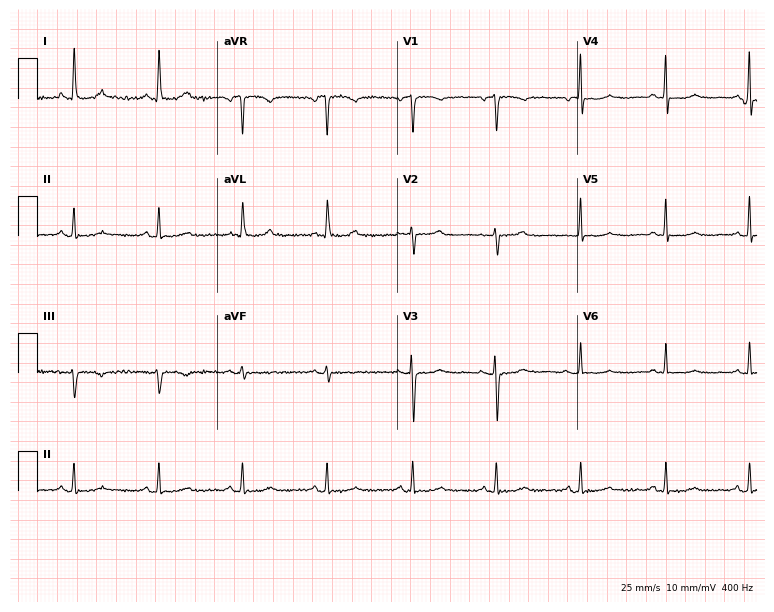
Electrocardiogram, a female, 75 years old. Of the six screened findings (first-degree AV block, right bundle branch block (RBBB), left bundle branch block (LBBB), sinus bradycardia, atrial fibrillation (AF), sinus tachycardia), none is recorded.